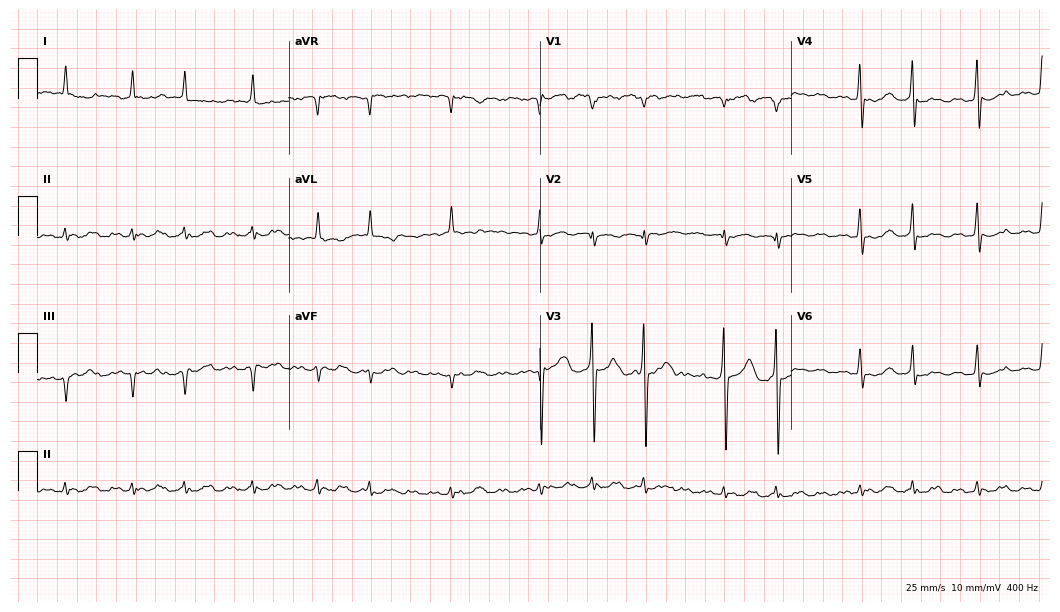
12-lead ECG from an 85-year-old man (10.2-second recording at 400 Hz). Shows atrial fibrillation.